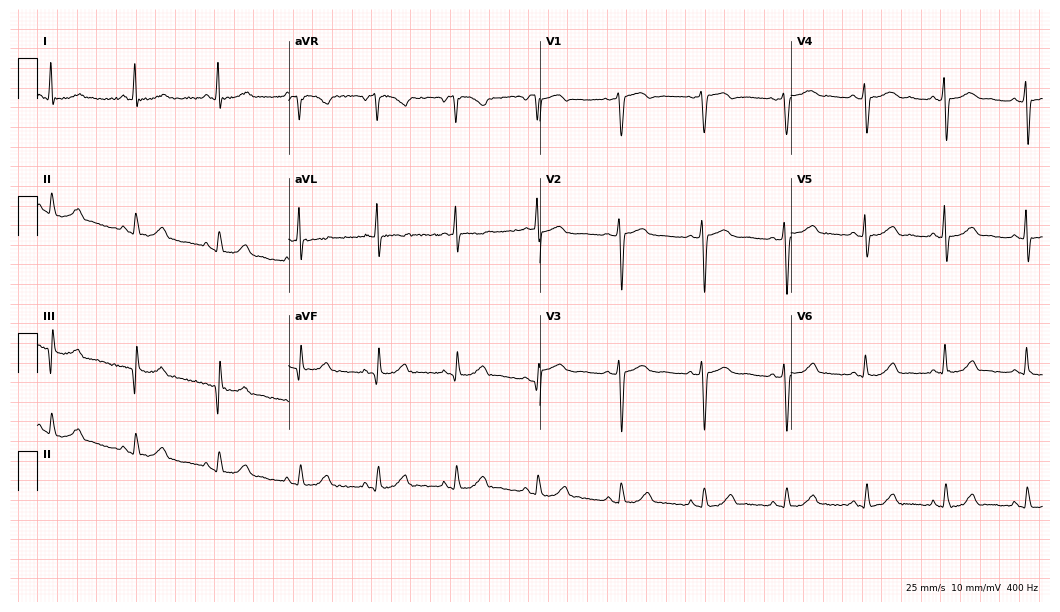
Standard 12-lead ECG recorded from a 54-year-old female patient. None of these six findings is recorded: first-degree AV block, right bundle branch block, left bundle branch block, sinus bradycardia, atrial fibrillation, sinus tachycardia.